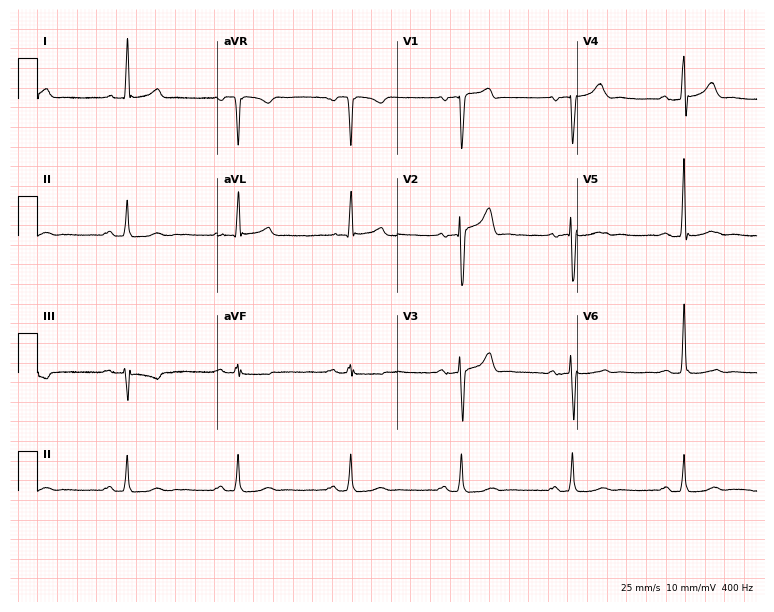
12-lead ECG from a male, 66 years old (7.3-second recording at 400 Hz). No first-degree AV block, right bundle branch block, left bundle branch block, sinus bradycardia, atrial fibrillation or sinus tachycardia recorded for this tracing. Findings outside these six are not listed.